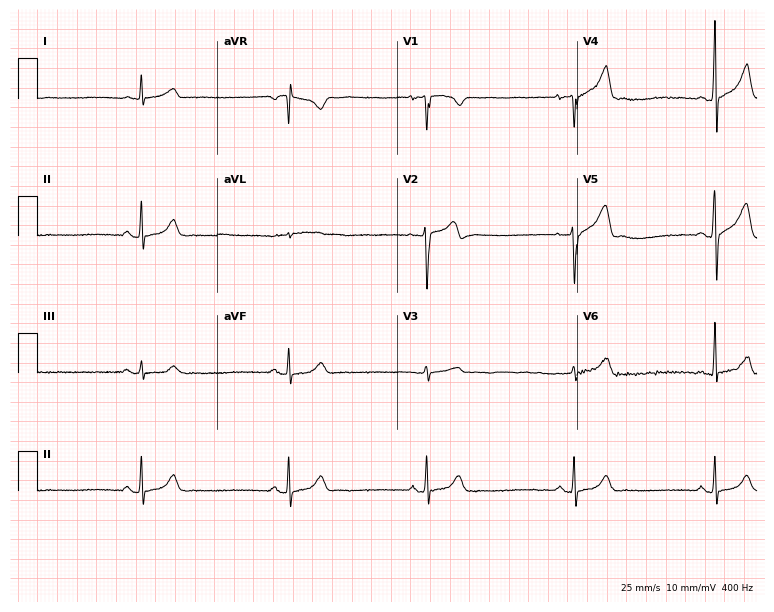
Standard 12-lead ECG recorded from a 23-year-old male patient. The tracing shows sinus bradycardia (a sinus rate of 50 beats per minute or less).